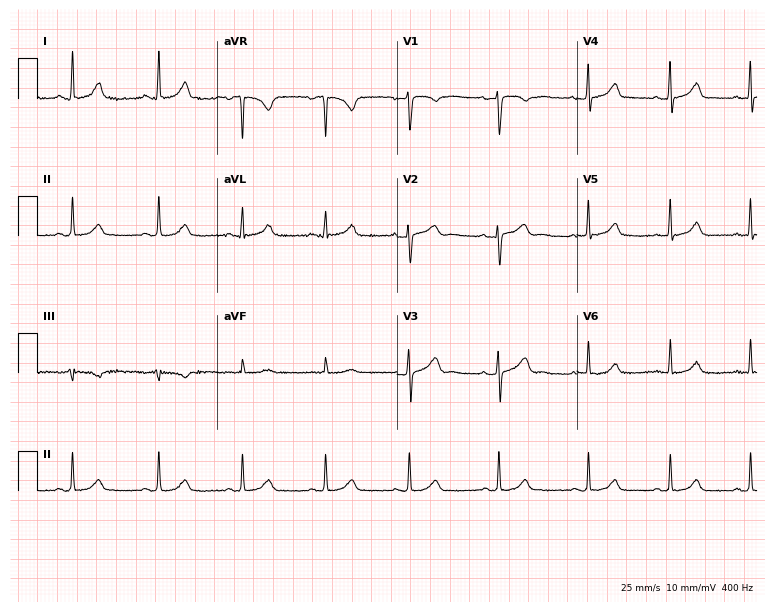
12-lead ECG from a 26-year-old woman (7.3-second recording at 400 Hz). Recorded interpretation: within normal limits.